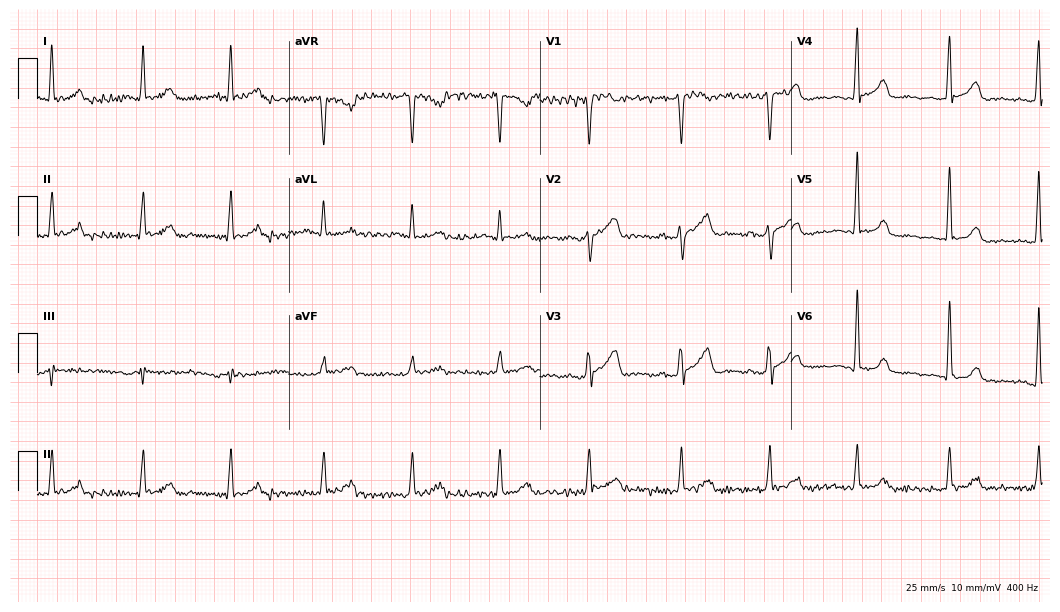
12-lead ECG from a male patient, 59 years old. Screened for six findings — first-degree AV block, right bundle branch block (RBBB), left bundle branch block (LBBB), sinus bradycardia, atrial fibrillation (AF), sinus tachycardia — none is recorded.